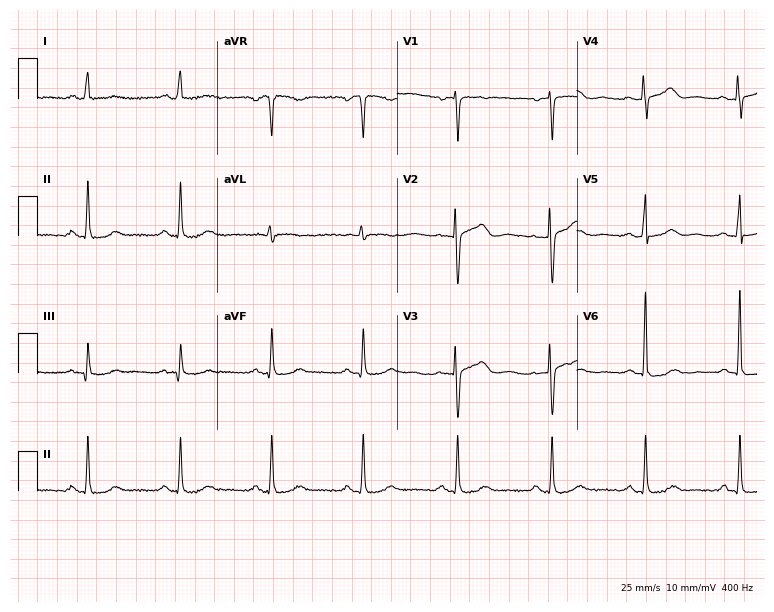
ECG (7.3-second recording at 400 Hz) — a female, 63 years old. Screened for six findings — first-degree AV block, right bundle branch block (RBBB), left bundle branch block (LBBB), sinus bradycardia, atrial fibrillation (AF), sinus tachycardia — none is recorded.